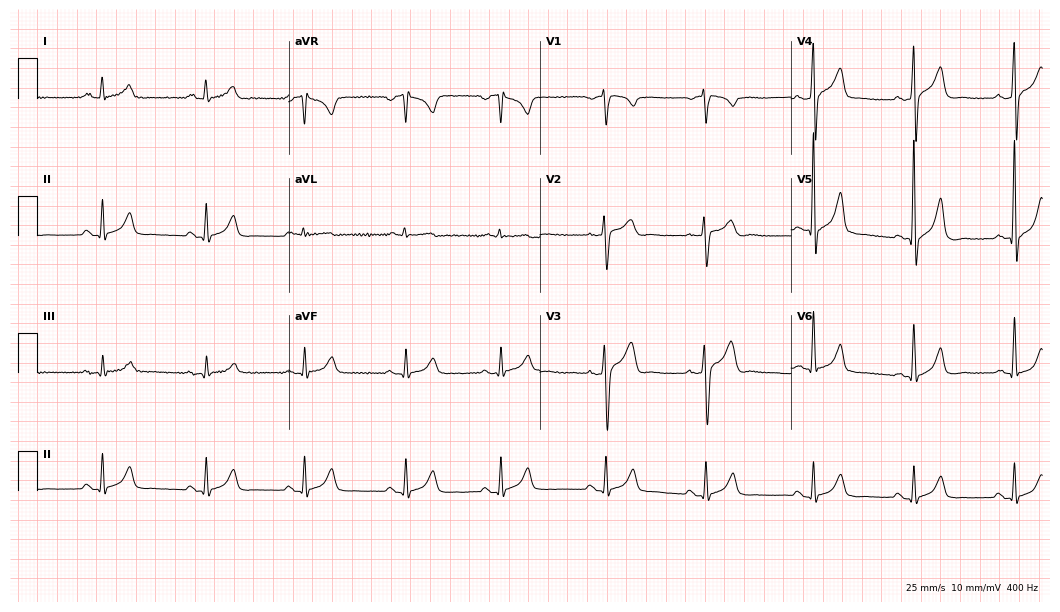
Standard 12-lead ECG recorded from a 41-year-old male (10.2-second recording at 400 Hz). Read as a normal ECG.